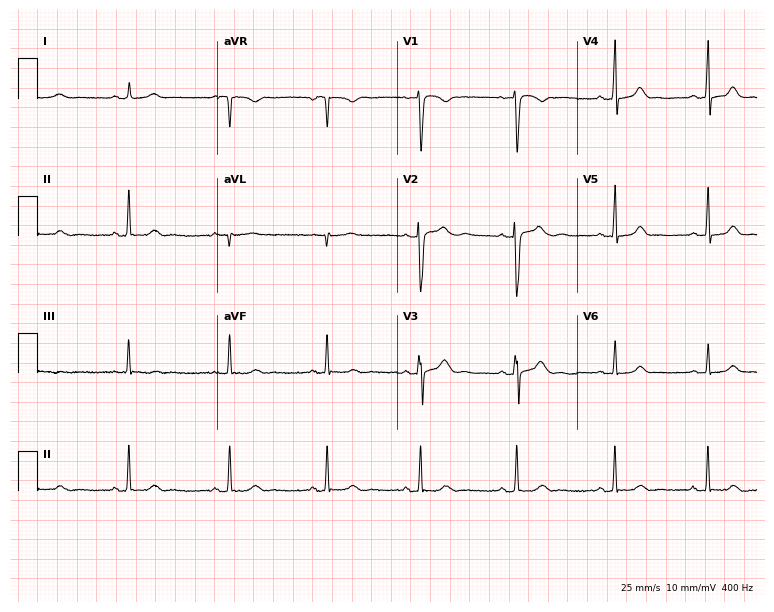
ECG — a female patient, 23 years old. Labelled as a normal ECG.